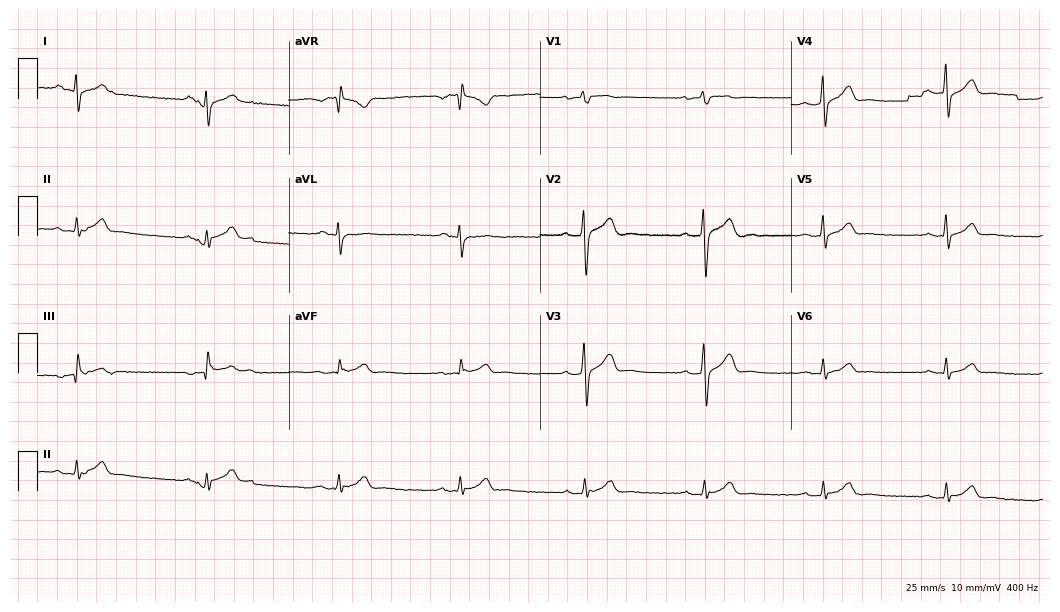
Resting 12-lead electrocardiogram. Patient: a male, 36 years old. The tracing shows sinus bradycardia (a sinus rate of 50 beats per minute or less).